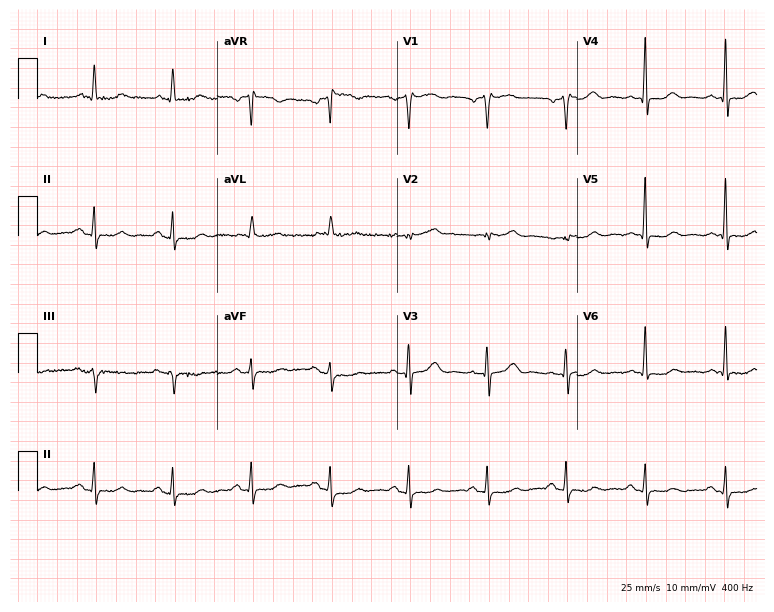
Resting 12-lead electrocardiogram (7.3-second recording at 400 Hz). Patient: an 83-year-old man. None of these six findings is recorded: first-degree AV block, right bundle branch block (RBBB), left bundle branch block (LBBB), sinus bradycardia, atrial fibrillation (AF), sinus tachycardia.